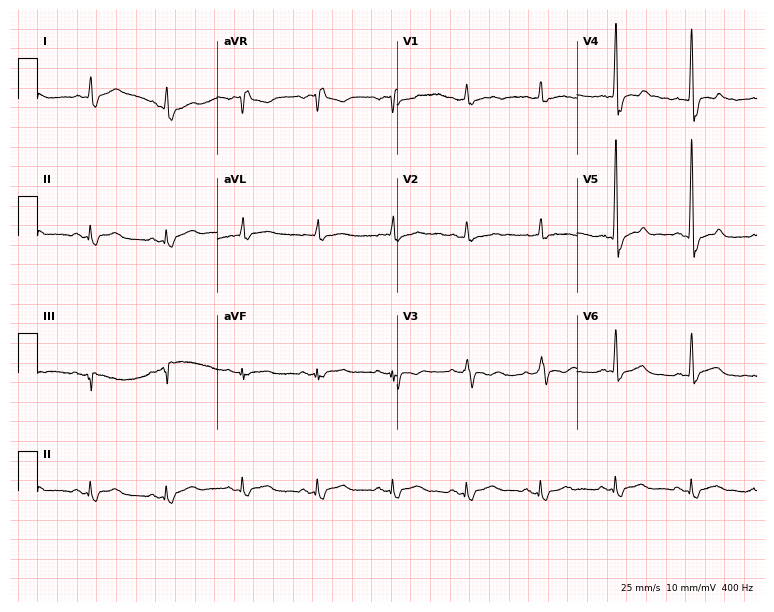
12-lead ECG from a 43-year-old man. Screened for six findings — first-degree AV block, right bundle branch block, left bundle branch block, sinus bradycardia, atrial fibrillation, sinus tachycardia — none is recorded. Other findings, if any, are not listed.